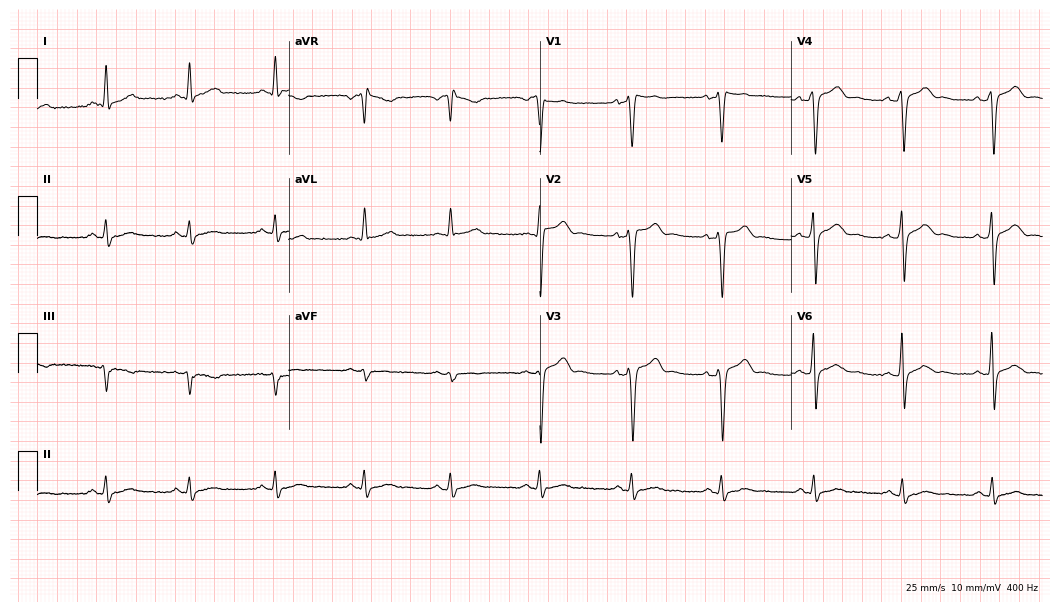
Electrocardiogram, a 40-year-old male. Of the six screened findings (first-degree AV block, right bundle branch block, left bundle branch block, sinus bradycardia, atrial fibrillation, sinus tachycardia), none is recorded. Other findings, if any, are not listed.